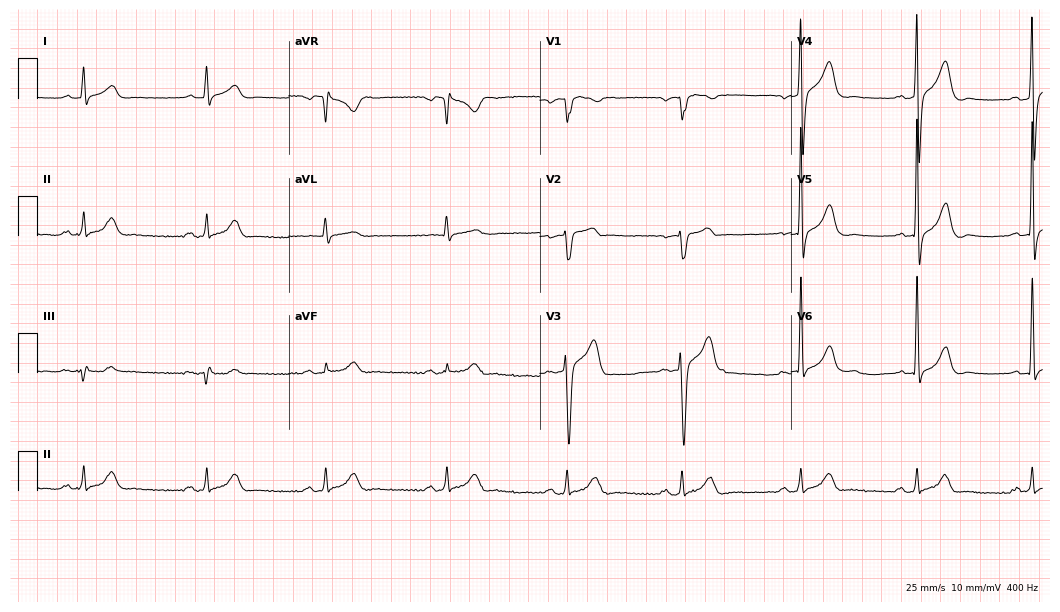
ECG (10.2-second recording at 400 Hz) — a man, 57 years old. Screened for six findings — first-degree AV block, right bundle branch block, left bundle branch block, sinus bradycardia, atrial fibrillation, sinus tachycardia — none is recorded. Only these six findings were labelled.